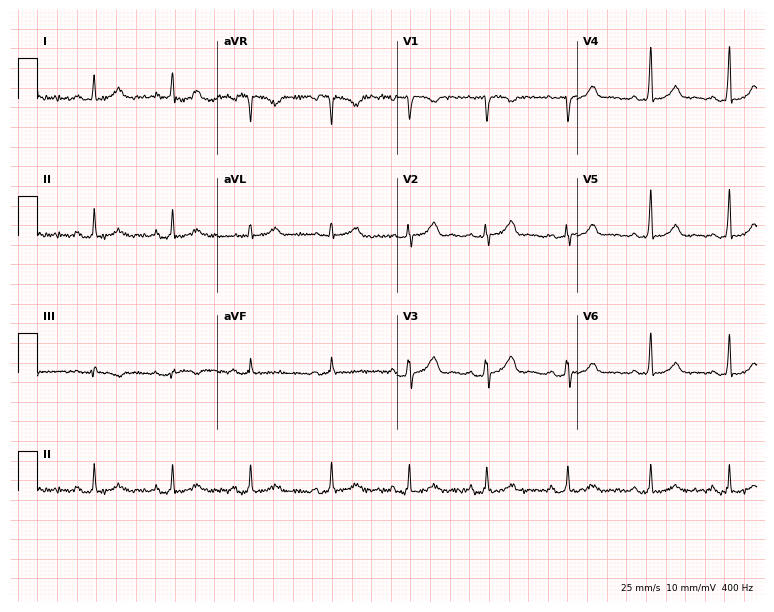
12-lead ECG from a woman, 34 years old. Labelled as a normal ECG.